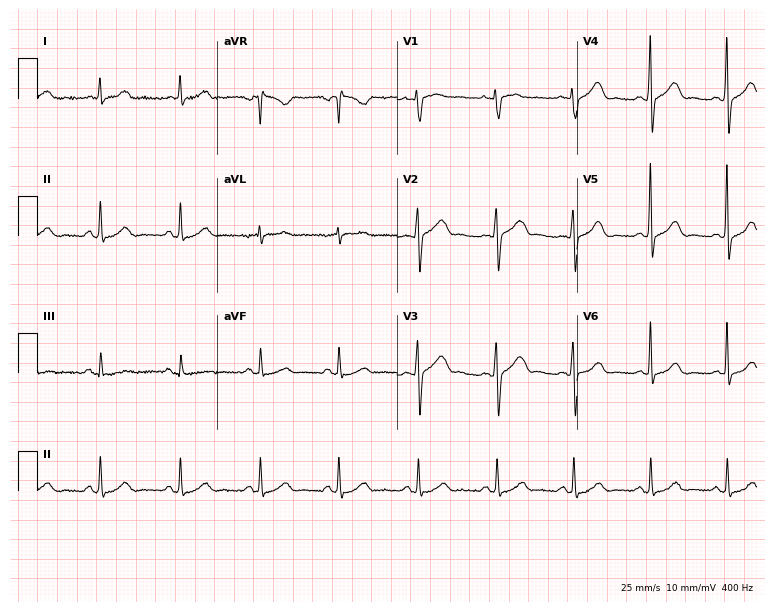
12-lead ECG from a female patient, 49 years old. No first-degree AV block, right bundle branch block, left bundle branch block, sinus bradycardia, atrial fibrillation or sinus tachycardia recorded for this tracing.